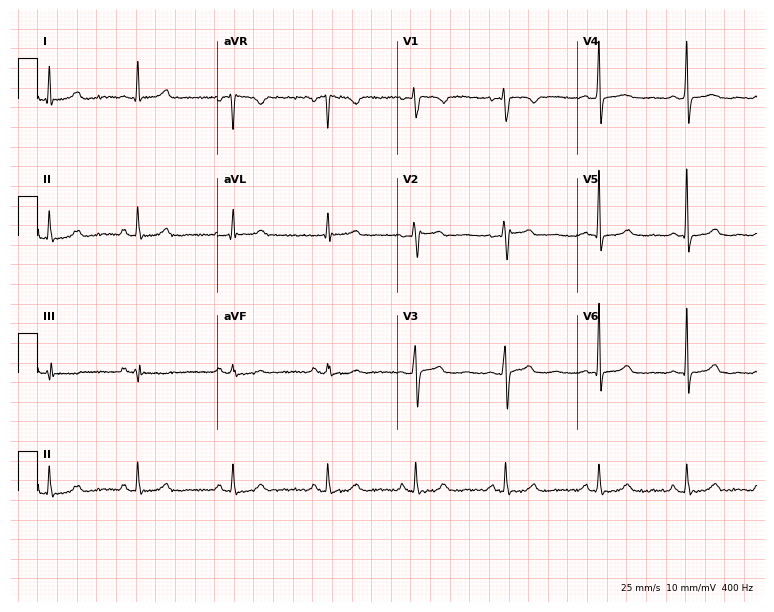
Standard 12-lead ECG recorded from a woman, 42 years old (7.3-second recording at 400 Hz). None of these six findings is recorded: first-degree AV block, right bundle branch block (RBBB), left bundle branch block (LBBB), sinus bradycardia, atrial fibrillation (AF), sinus tachycardia. Other findings, if any, are not listed.